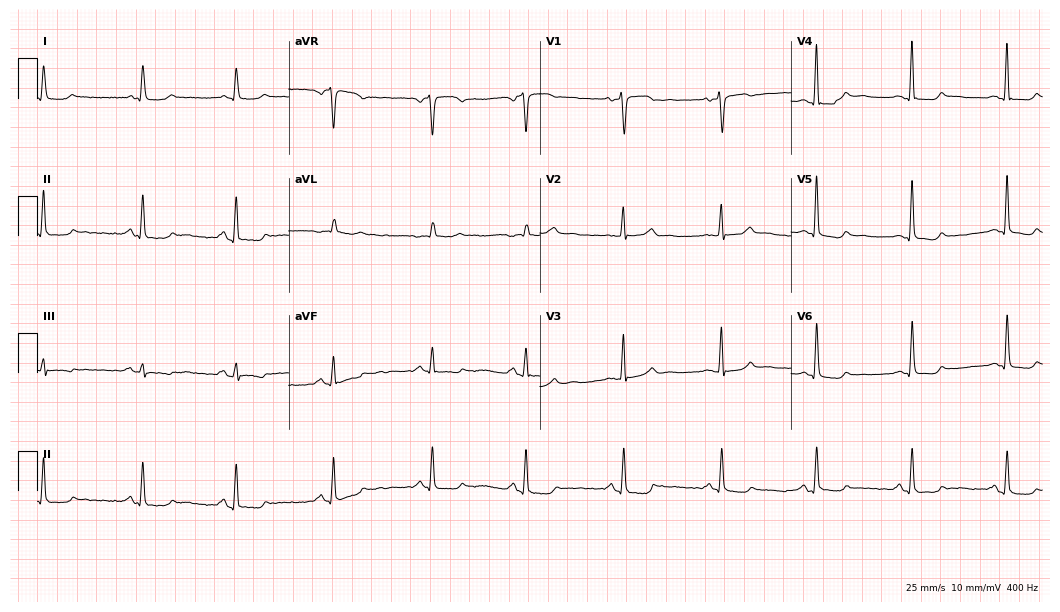
12-lead ECG from a 64-year-old woman. Screened for six findings — first-degree AV block, right bundle branch block, left bundle branch block, sinus bradycardia, atrial fibrillation, sinus tachycardia — none is recorded.